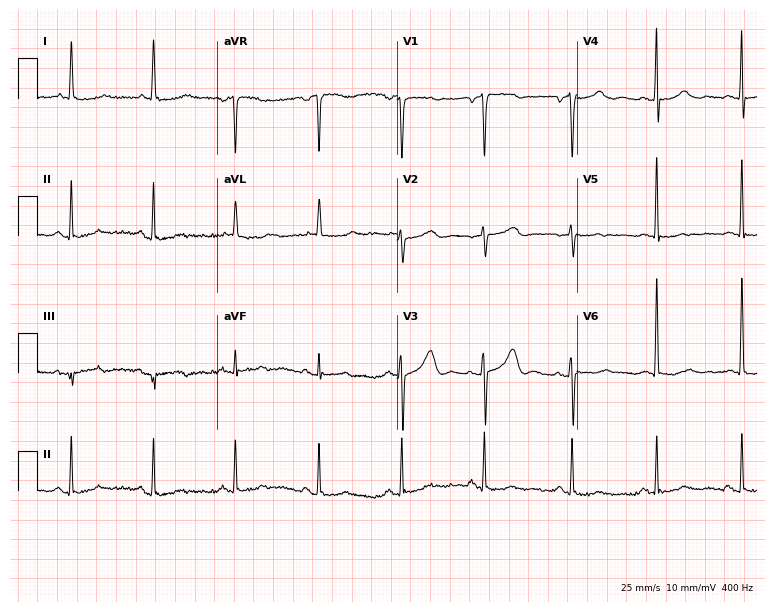
Electrocardiogram, a female, 71 years old. Of the six screened findings (first-degree AV block, right bundle branch block (RBBB), left bundle branch block (LBBB), sinus bradycardia, atrial fibrillation (AF), sinus tachycardia), none is recorded.